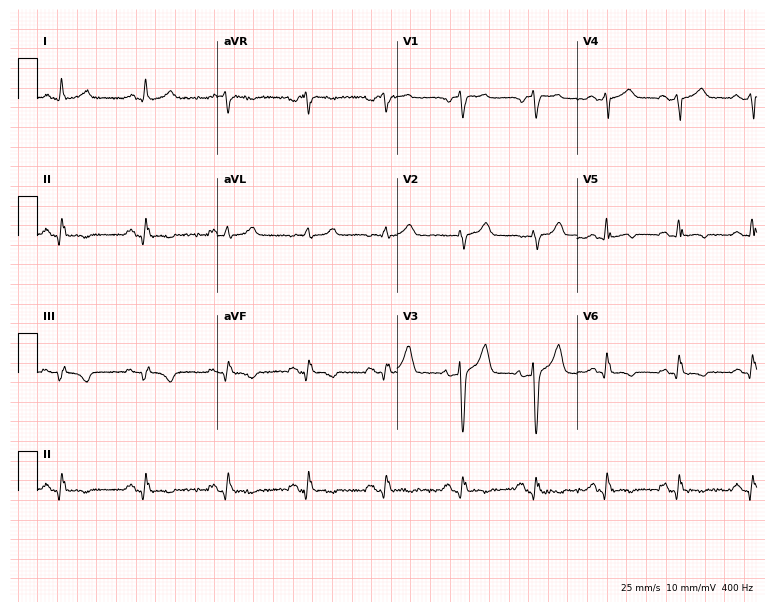
Resting 12-lead electrocardiogram. Patient: a 53-year-old male. None of these six findings is recorded: first-degree AV block, right bundle branch block (RBBB), left bundle branch block (LBBB), sinus bradycardia, atrial fibrillation (AF), sinus tachycardia.